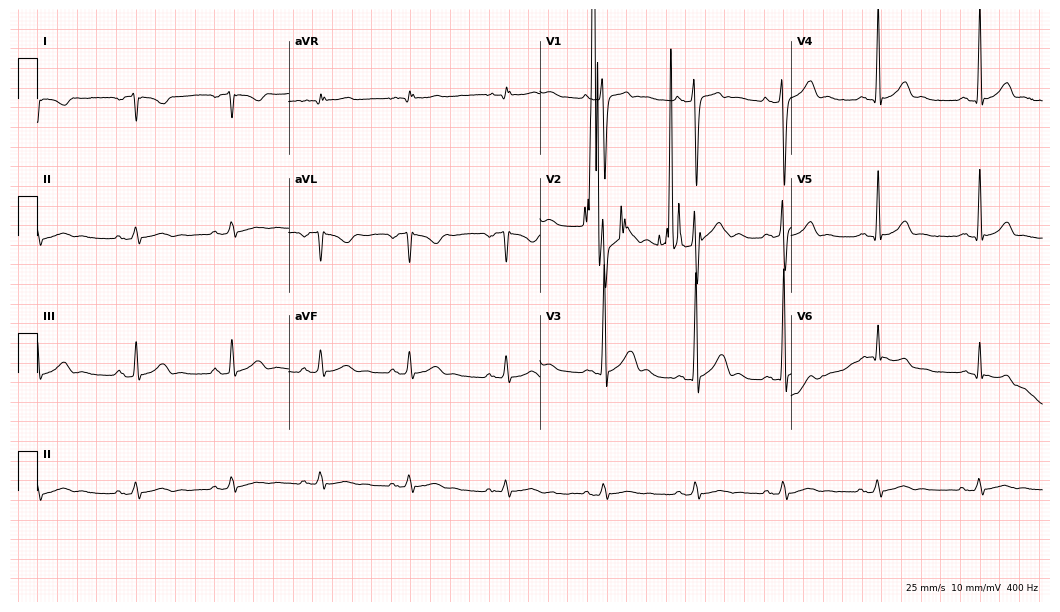
12-lead ECG (10.2-second recording at 400 Hz) from a 20-year-old man. Screened for six findings — first-degree AV block, right bundle branch block, left bundle branch block, sinus bradycardia, atrial fibrillation, sinus tachycardia — none is recorded. Other findings, if any, are not listed.